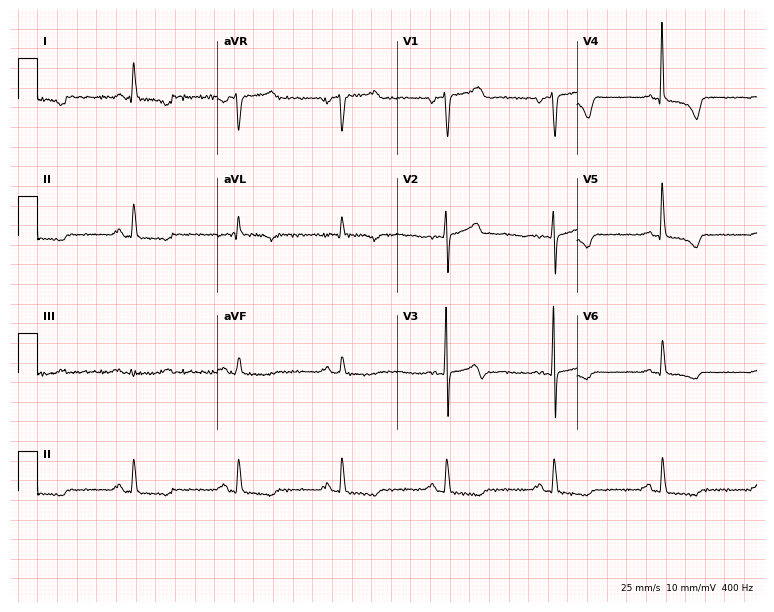
ECG — an 82-year-old male patient. Screened for six findings — first-degree AV block, right bundle branch block, left bundle branch block, sinus bradycardia, atrial fibrillation, sinus tachycardia — none is recorded.